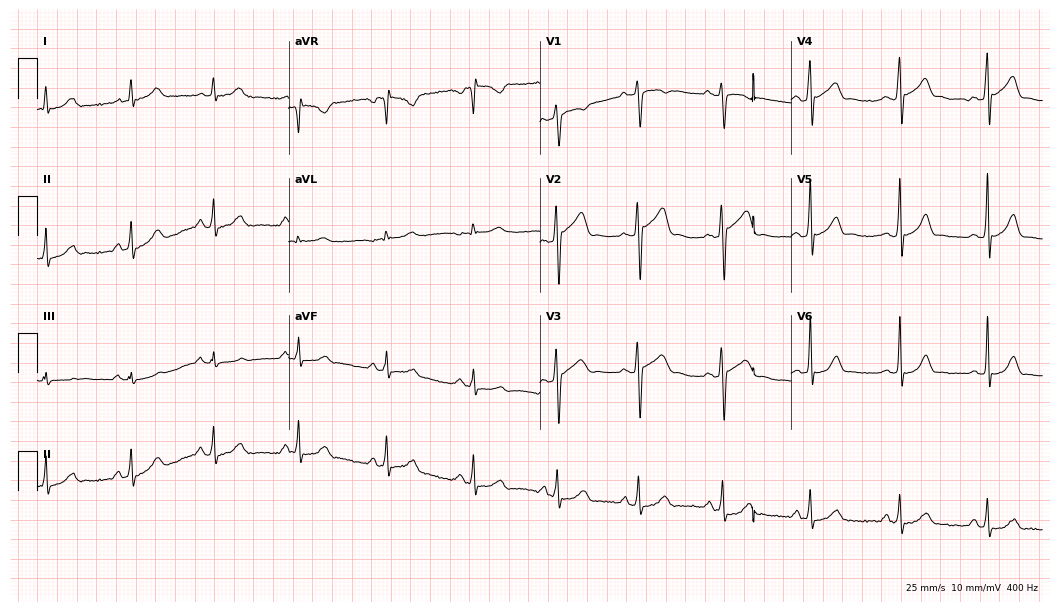
12-lead ECG (10.2-second recording at 400 Hz) from a 25-year-old male. Labelled as a normal ECG.